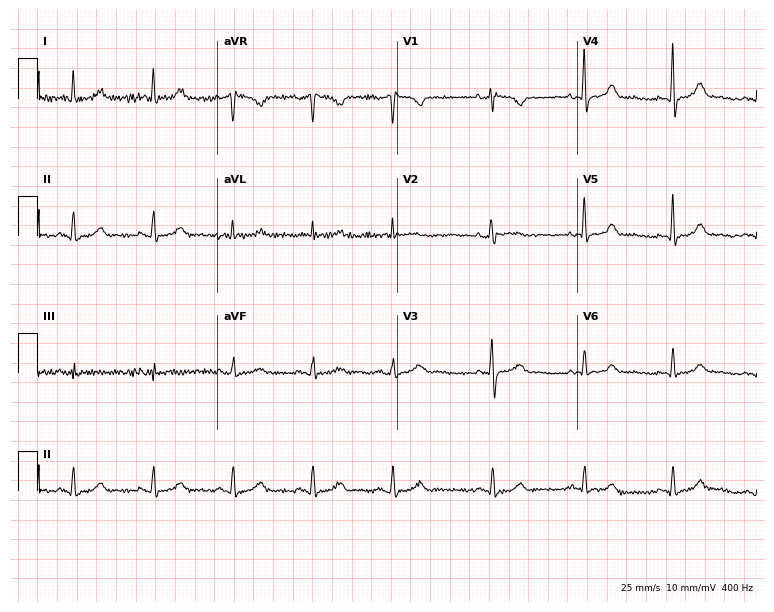
12-lead ECG from a 65-year-old female. Screened for six findings — first-degree AV block, right bundle branch block (RBBB), left bundle branch block (LBBB), sinus bradycardia, atrial fibrillation (AF), sinus tachycardia — none is recorded. Other findings, if any, are not listed.